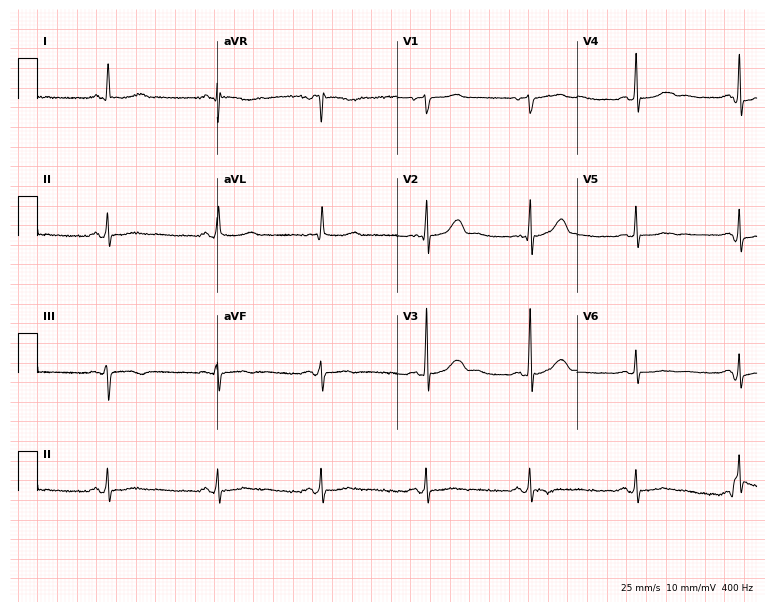
12-lead ECG from a 65-year-old woman. Recorded interpretation: within normal limits.